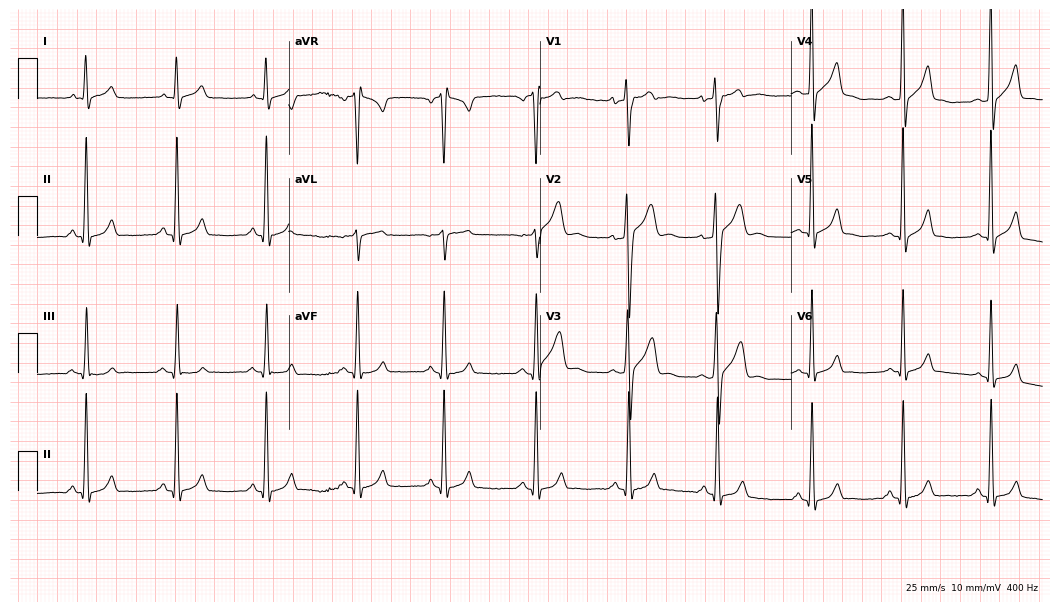
Standard 12-lead ECG recorded from a 17-year-old man. Read as a normal ECG.